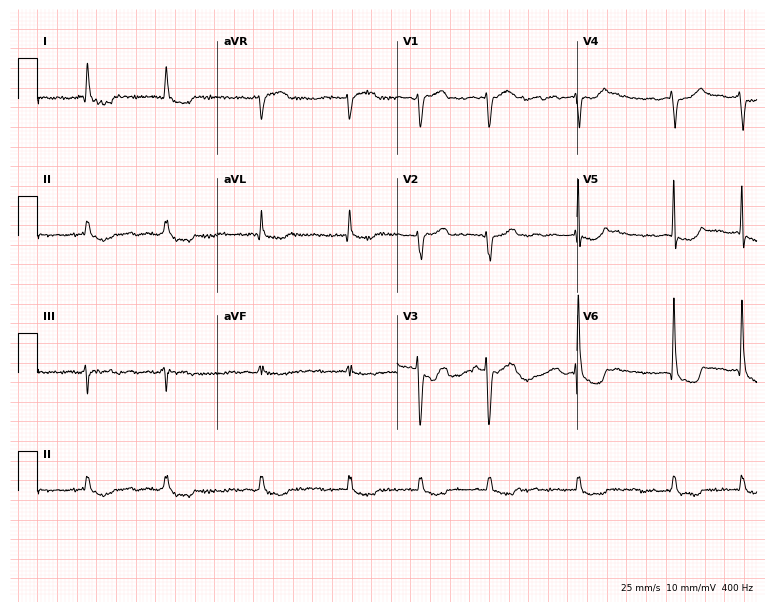
Resting 12-lead electrocardiogram (7.3-second recording at 400 Hz). Patient: an 85-year-old female. The tracing shows atrial fibrillation.